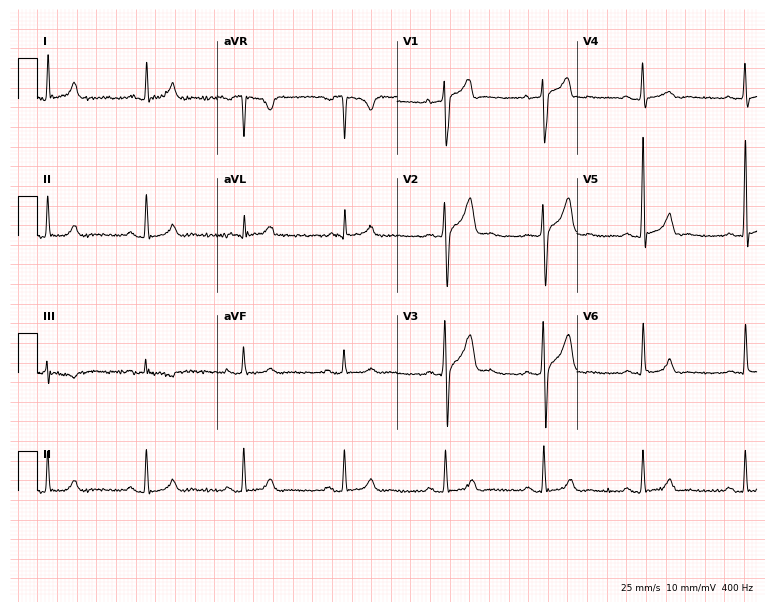
ECG (7.3-second recording at 400 Hz) — a 49-year-old male. Screened for six findings — first-degree AV block, right bundle branch block (RBBB), left bundle branch block (LBBB), sinus bradycardia, atrial fibrillation (AF), sinus tachycardia — none is recorded. Other findings, if any, are not listed.